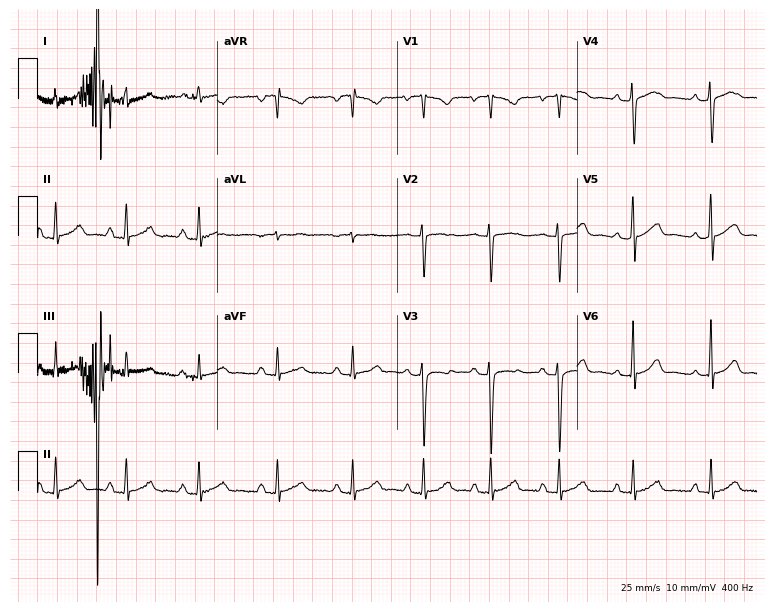
ECG — a female patient, 27 years old. Labelled as a normal ECG.